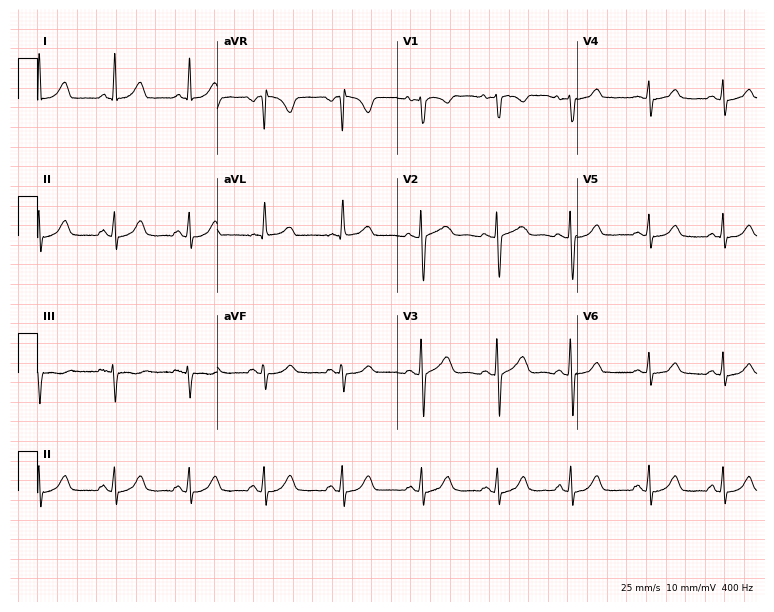
Standard 12-lead ECG recorded from a 39-year-old woman. Read as a normal ECG.